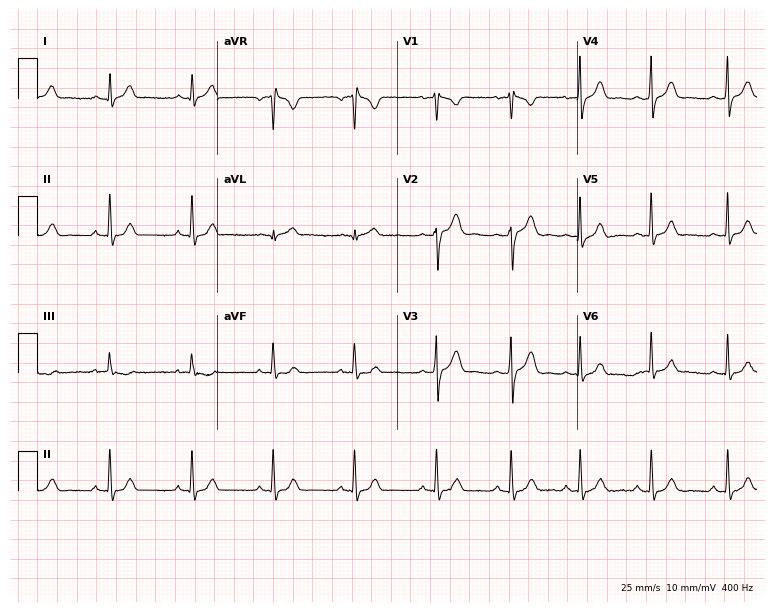
ECG (7.3-second recording at 400 Hz) — a 19-year-old female. Labelled as a normal ECG.